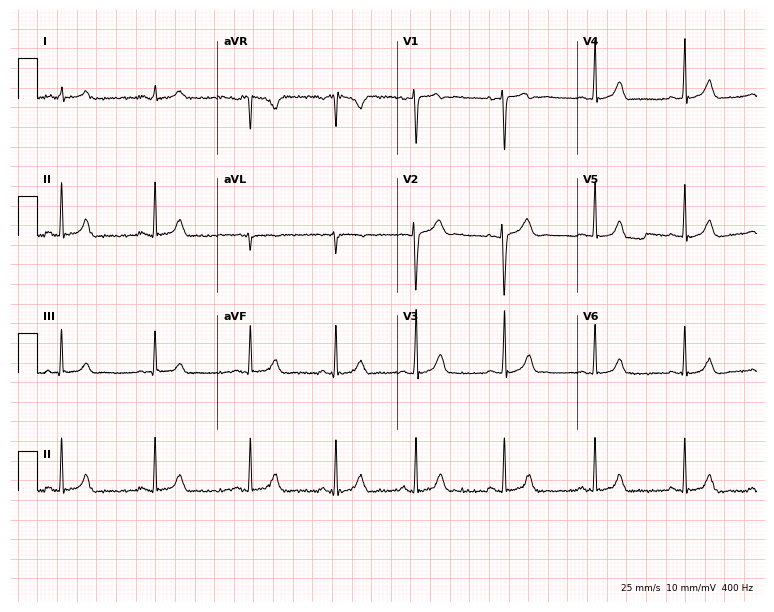
Electrocardiogram, a female, 19 years old. Of the six screened findings (first-degree AV block, right bundle branch block, left bundle branch block, sinus bradycardia, atrial fibrillation, sinus tachycardia), none is recorded.